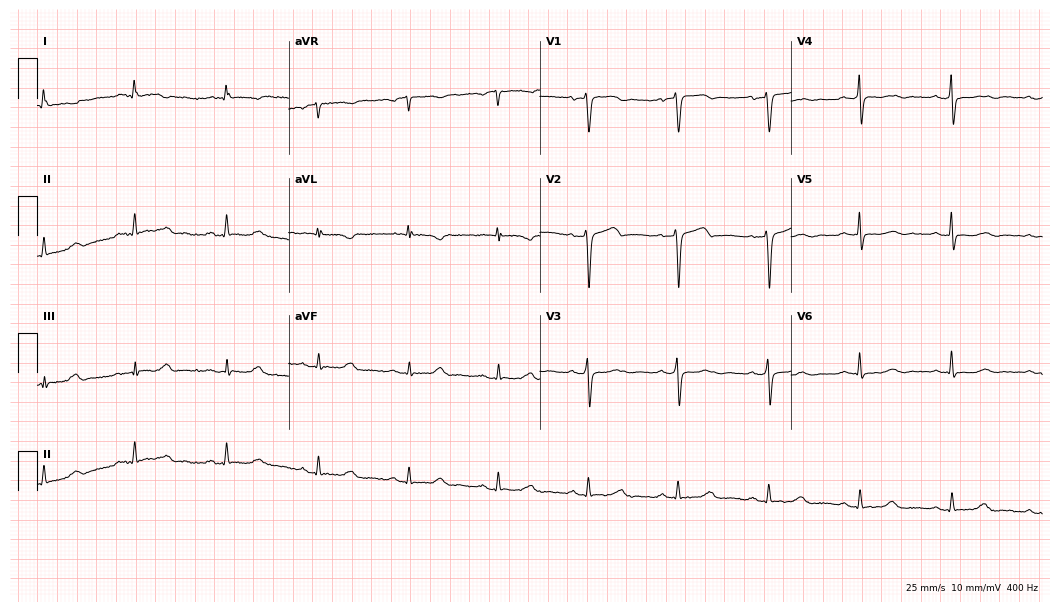
Standard 12-lead ECG recorded from a 64-year-old female. None of these six findings is recorded: first-degree AV block, right bundle branch block (RBBB), left bundle branch block (LBBB), sinus bradycardia, atrial fibrillation (AF), sinus tachycardia. Only these six findings were labelled.